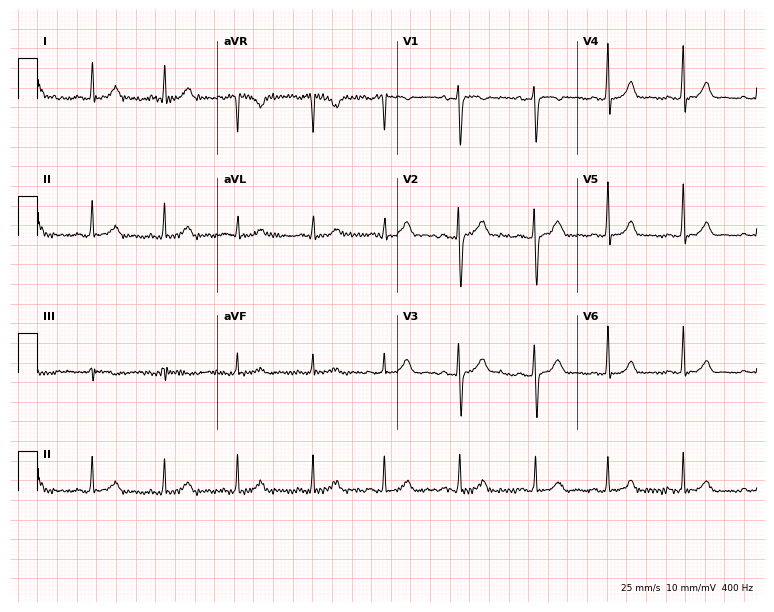
ECG — a 24-year-old female patient. Labelled as a normal ECG.